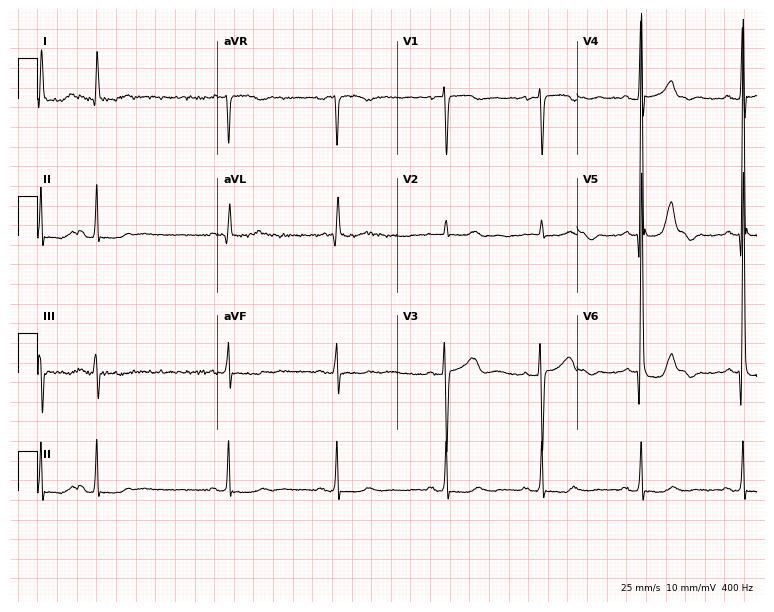
Electrocardiogram (7.3-second recording at 400 Hz), a female patient, 62 years old. Overall reading on record: normal ECG.